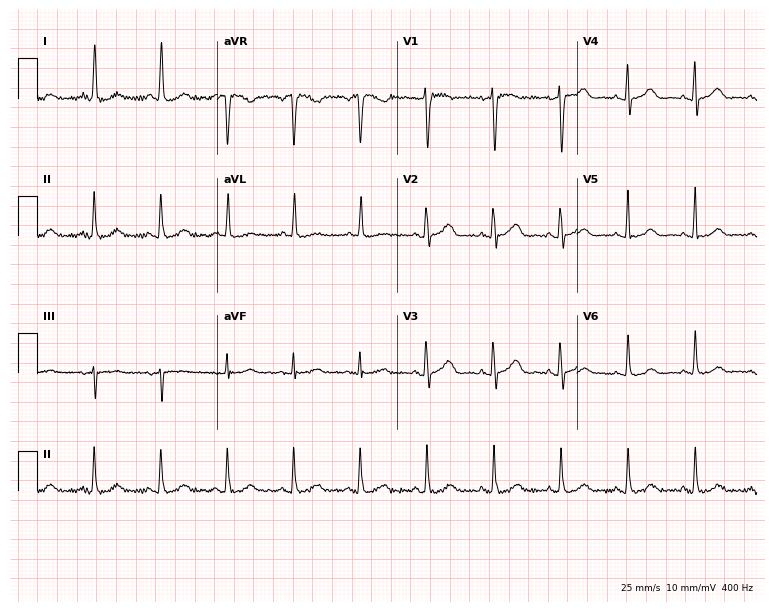
Electrocardiogram, a female, 66 years old. Overall reading on record: normal ECG.